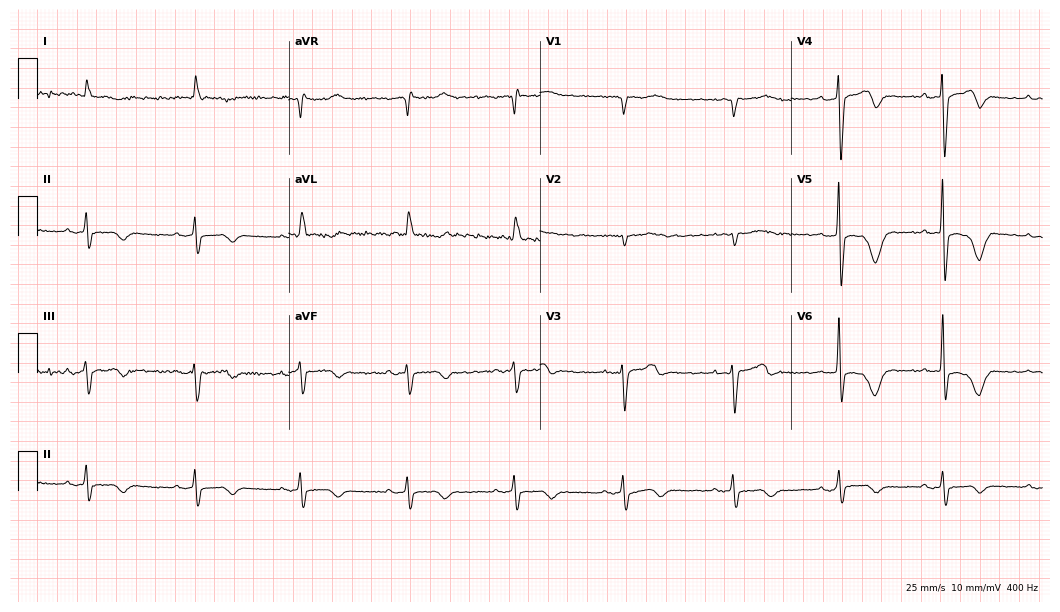
12-lead ECG from a male, 82 years old. Screened for six findings — first-degree AV block, right bundle branch block, left bundle branch block, sinus bradycardia, atrial fibrillation, sinus tachycardia — none is recorded.